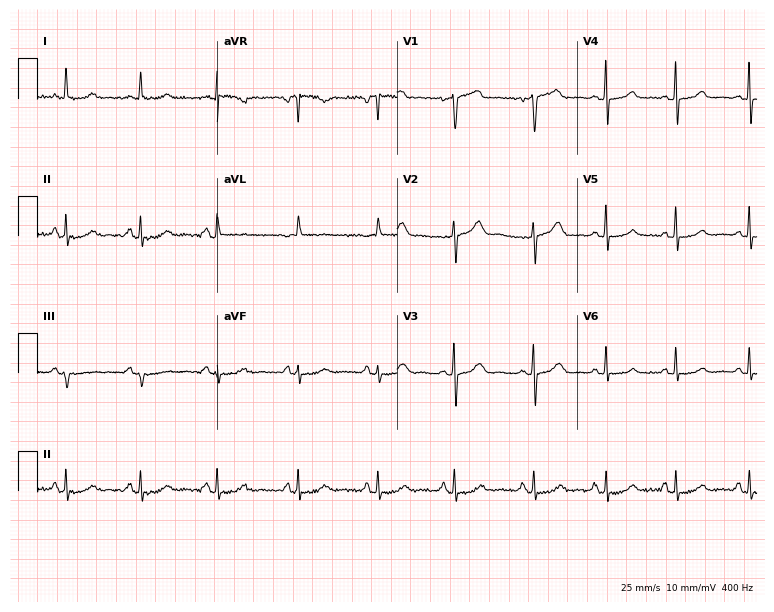
12-lead ECG (7.3-second recording at 400 Hz) from a female patient, 63 years old. Screened for six findings — first-degree AV block, right bundle branch block, left bundle branch block, sinus bradycardia, atrial fibrillation, sinus tachycardia — none is recorded. Only these six findings were labelled.